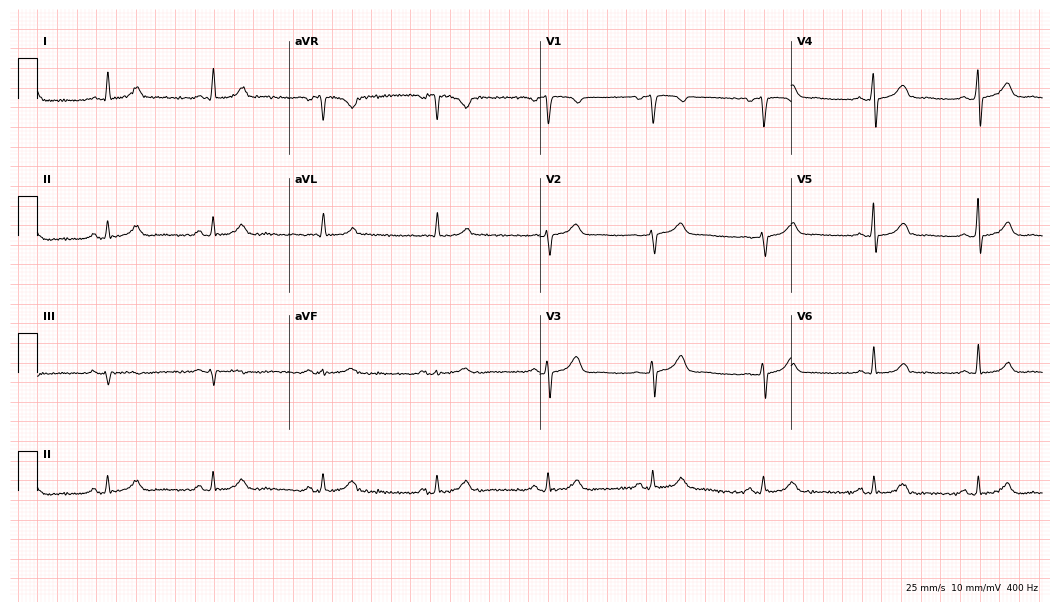
12-lead ECG from a female, 41 years old. No first-degree AV block, right bundle branch block (RBBB), left bundle branch block (LBBB), sinus bradycardia, atrial fibrillation (AF) or sinus tachycardia recorded for this tracing. Only these six findings were labelled.